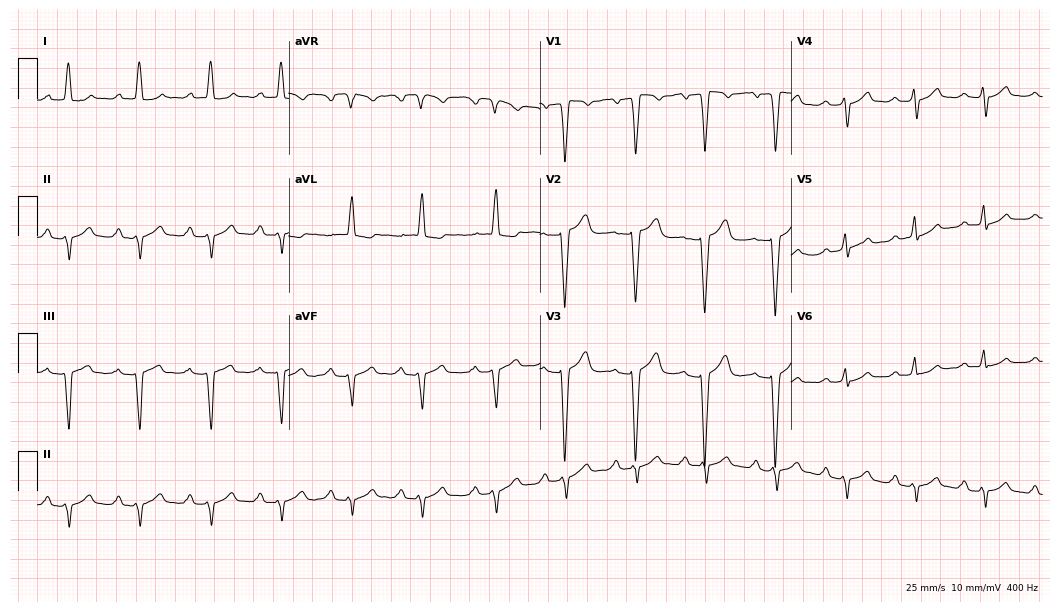
Standard 12-lead ECG recorded from a female patient, 76 years old (10.2-second recording at 400 Hz). The tracing shows first-degree AV block.